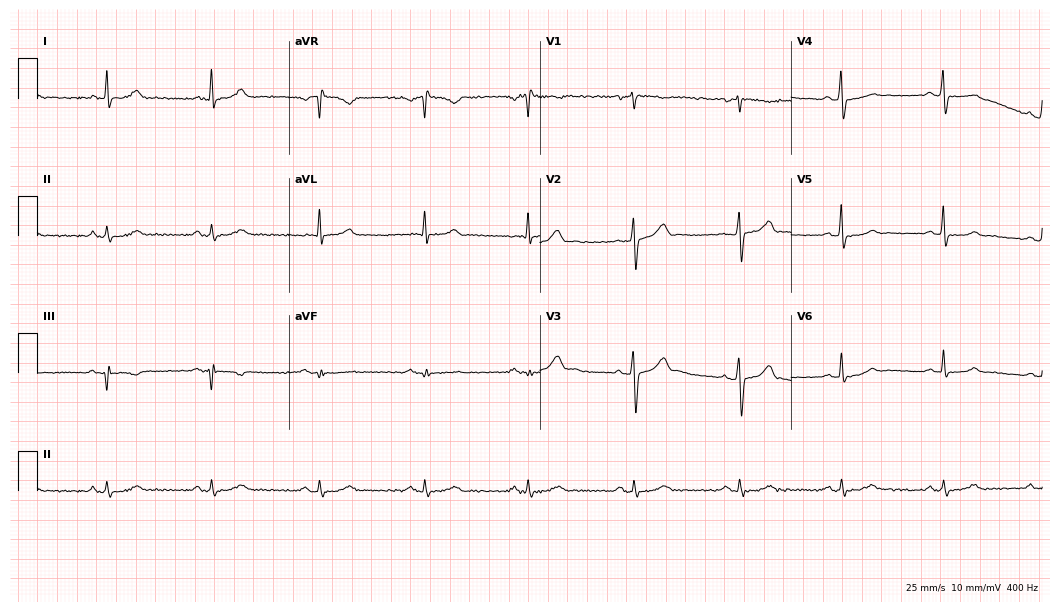
Standard 12-lead ECG recorded from a 56-year-old male patient. Read as a normal ECG.